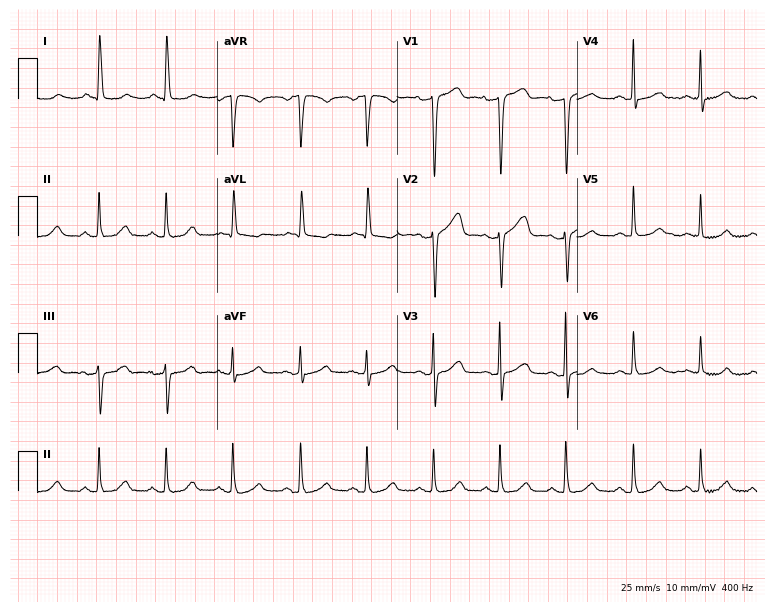
12-lead ECG (7.3-second recording at 400 Hz) from an 82-year-old female. Labelled as a normal ECG.